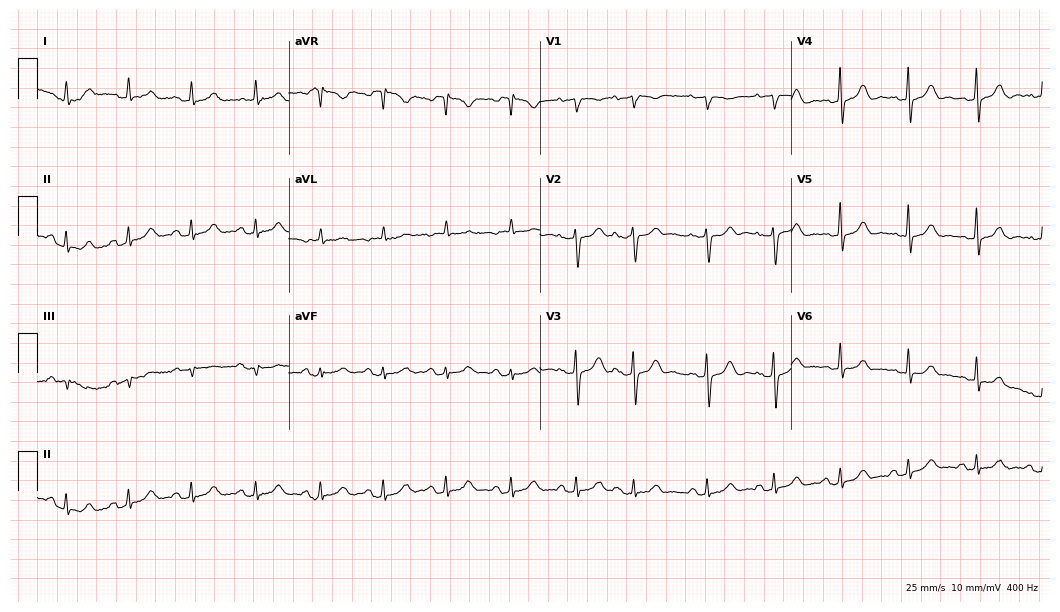
Standard 12-lead ECG recorded from a 71-year-old female patient. Read as a normal ECG.